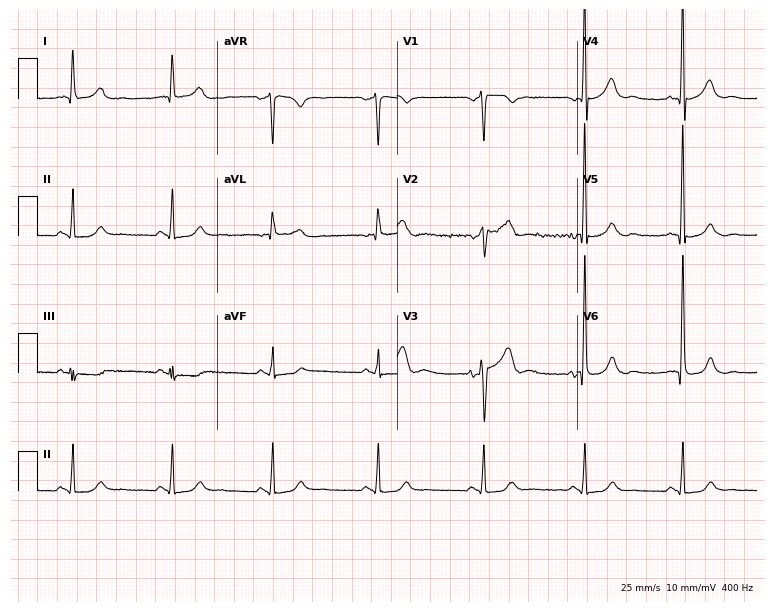
Electrocardiogram, a male, 50 years old. Overall reading on record: normal ECG.